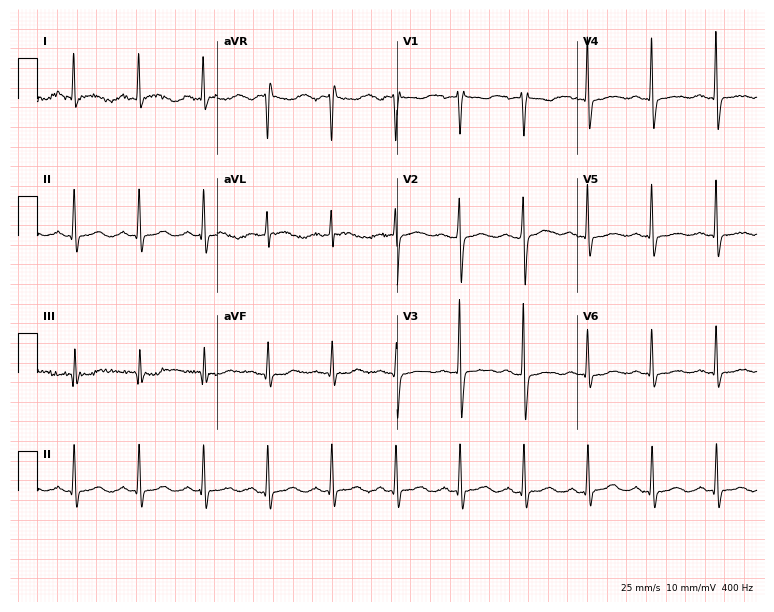
Standard 12-lead ECG recorded from a 70-year-old female (7.3-second recording at 400 Hz). None of these six findings is recorded: first-degree AV block, right bundle branch block (RBBB), left bundle branch block (LBBB), sinus bradycardia, atrial fibrillation (AF), sinus tachycardia.